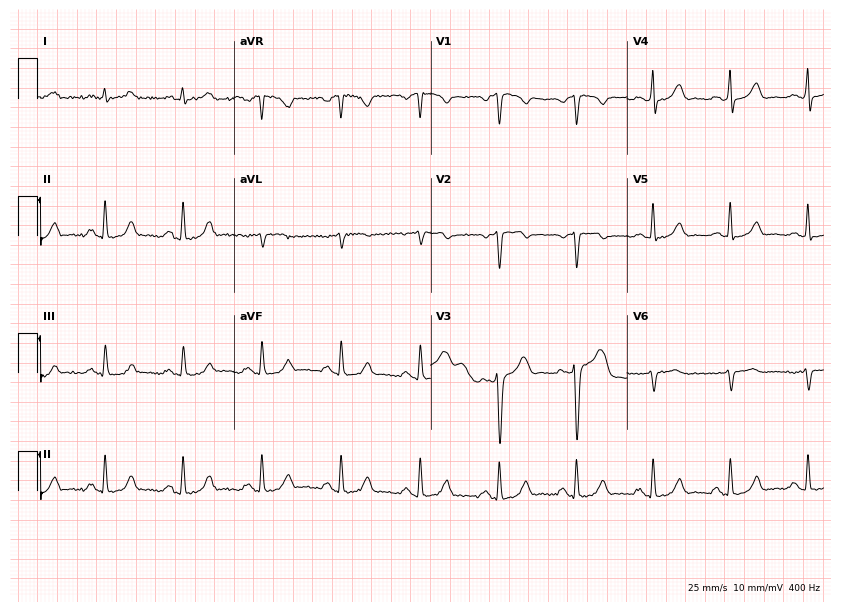
12-lead ECG from a 49-year-old male patient. No first-degree AV block, right bundle branch block, left bundle branch block, sinus bradycardia, atrial fibrillation or sinus tachycardia recorded for this tracing. Only these six findings were labelled.